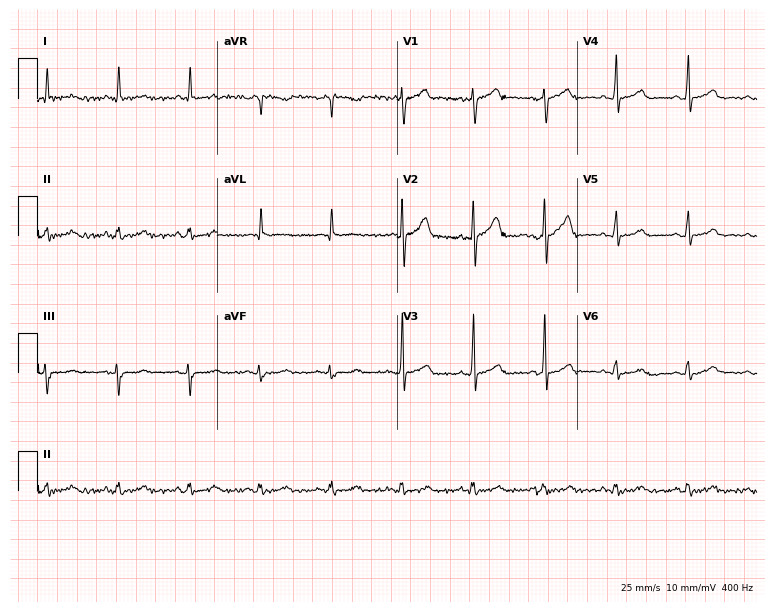
Resting 12-lead electrocardiogram (7.3-second recording at 400 Hz). Patient: a male, 60 years old. None of these six findings is recorded: first-degree AV block, right bundle branch block, left bundle branch block, sinus bradycardia, atrial fibrillation, sinus tachycardia. Only these six findings were labelled.